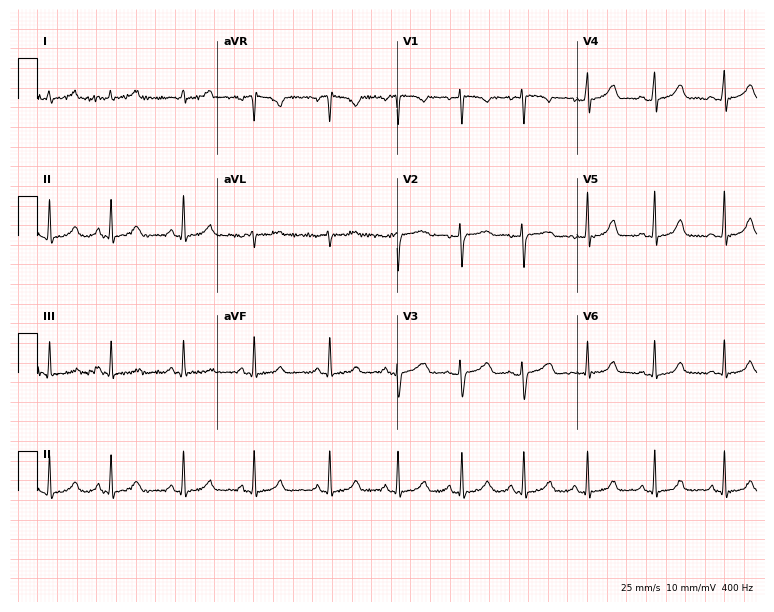
Electrocardiogram, a female, 27 years old. Overall reading on record: normal ECG.